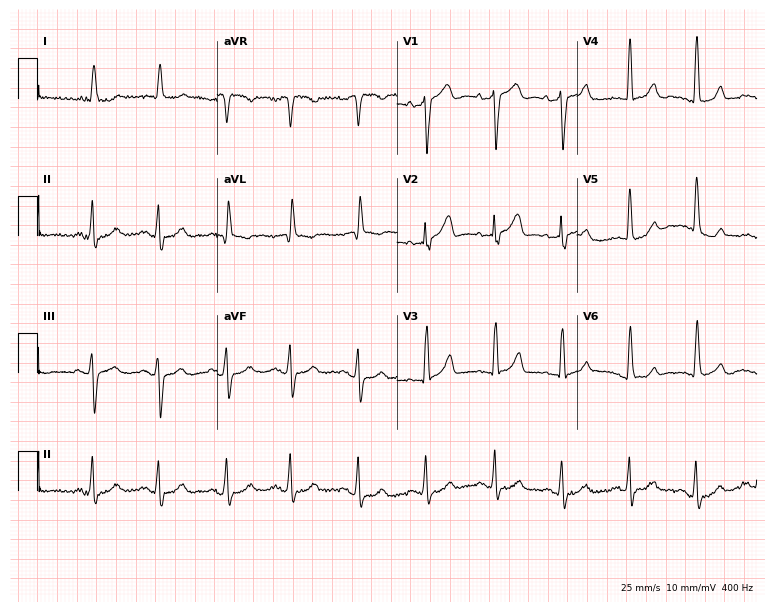
ECG (7.3-second recording at 400 Hz) — a woman, 75 years old. Screened for six findings — first-degree AV block, right bundle branch block (RBBB), left bundle branch block (LBBB), sinus bradycardia, atrial fibrillation (AF), sinus tachycardia — none is recorded. Only these six findings were labelled.